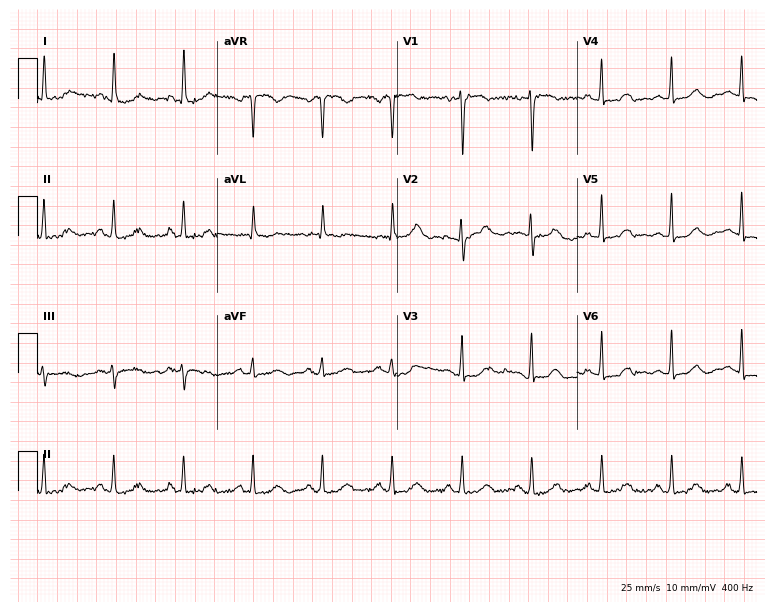
ECG (7.3-second recording at 400 Hz) — a woman, 78 years old. Labelled as a normal ECG.